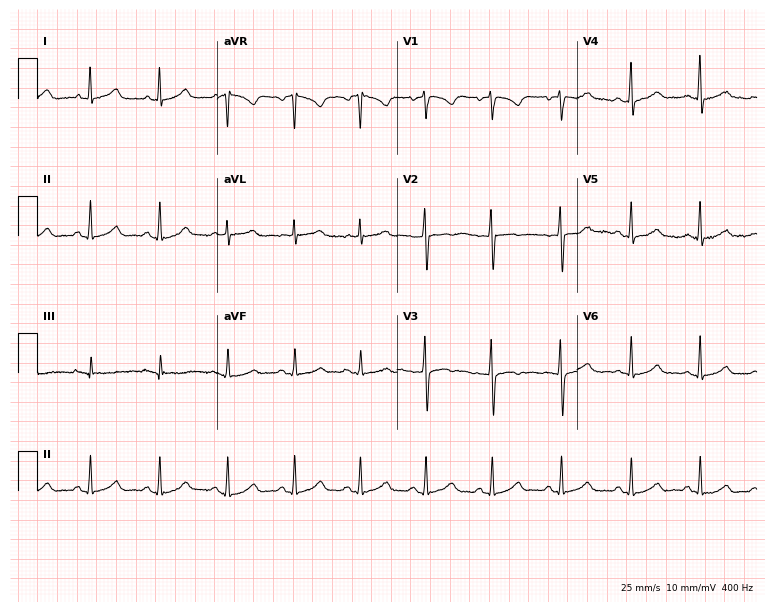
12-lead ECG (7.3-second recording at 400 Hz) from a female patient, 36 years old. Labelled as a normal ECG.